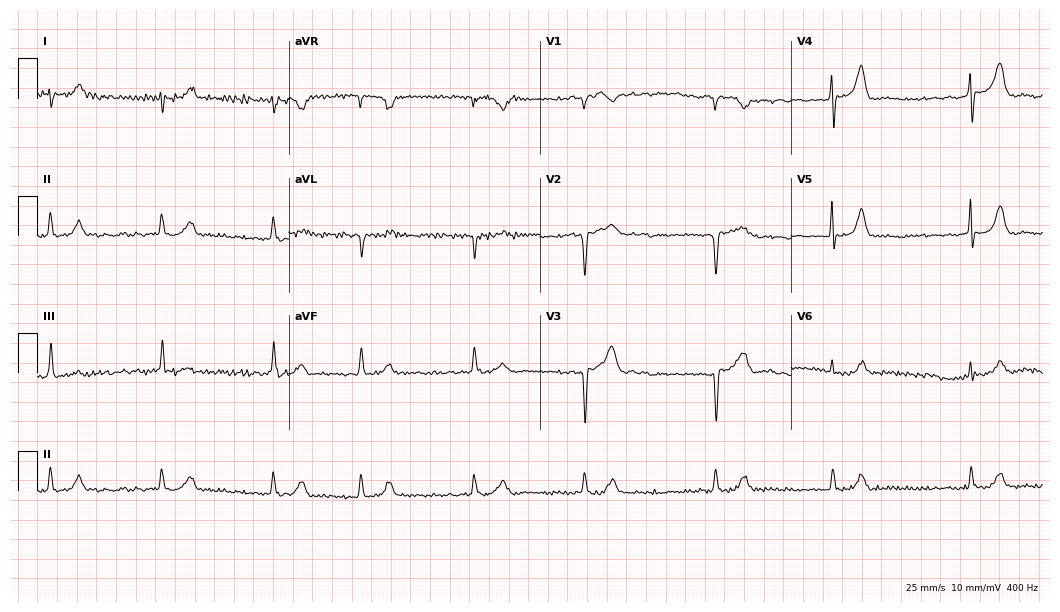
12-lead ECG (10.2-second recording at 400 Hz) from a male patient, 78 years old. Findings include atrial fibrillation.